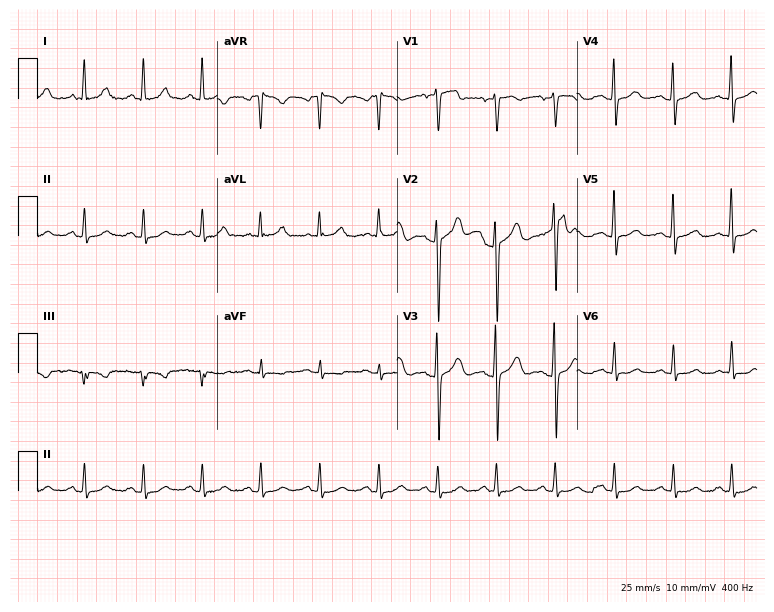
Electrocardiogram, a 78-year-old woman. Overall reading on record: normal ECG.